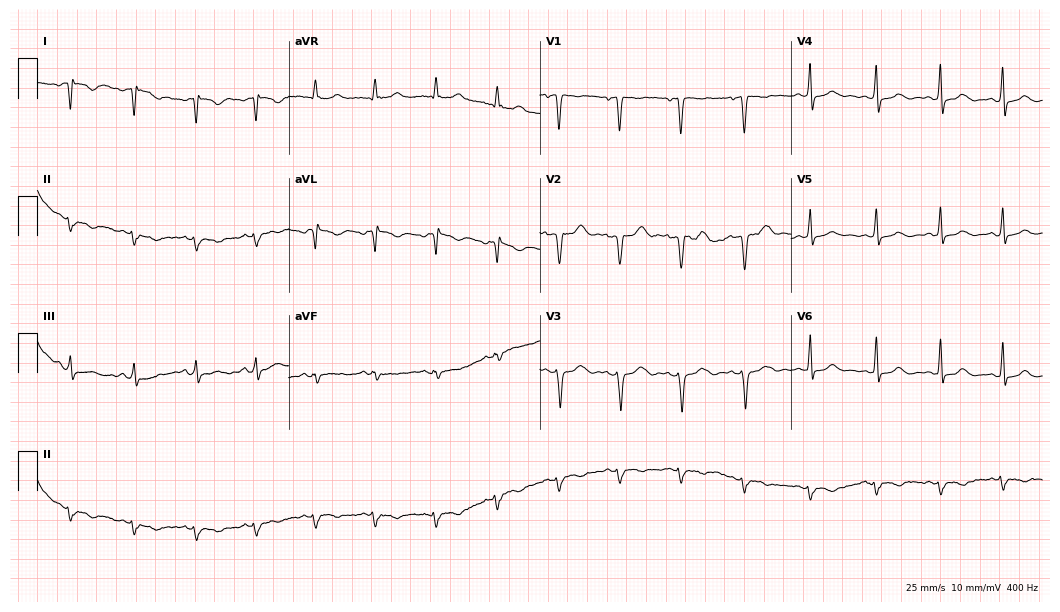
Standard 12-lead ECG recorded from a female, 35 years old (10.2-second recording at 400 Hz). None of these six findings is recorded: first-degree AV block, right bundle branch block (RBBB), left bundle branch block (LBBB), sinus bradycardia, atrial fibrillation (AF), sinus tachycardia.